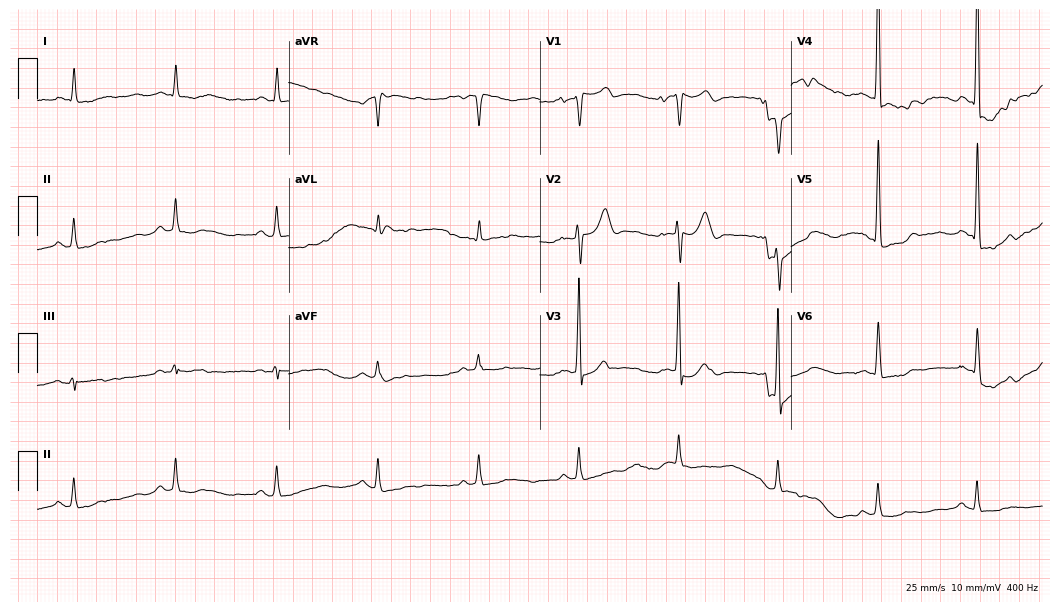
ECG (10.2-second recording at 400 Hz) — an 84-year-old male. Screened for six findings — first-degree AV block, right bundle branch block, left bundle branch block, sinus bradycardia, atrial fibrillation, sinus tachycardia — none is recorded.